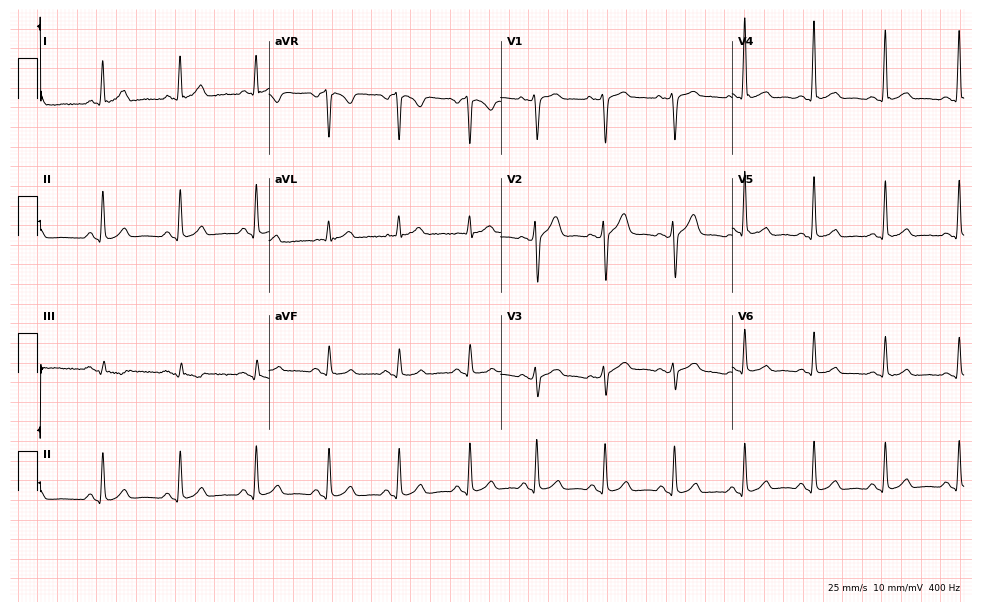
Resting 12-lead electrocardiogram. Patient: a 34-year-old male. Read as a normal ECG.